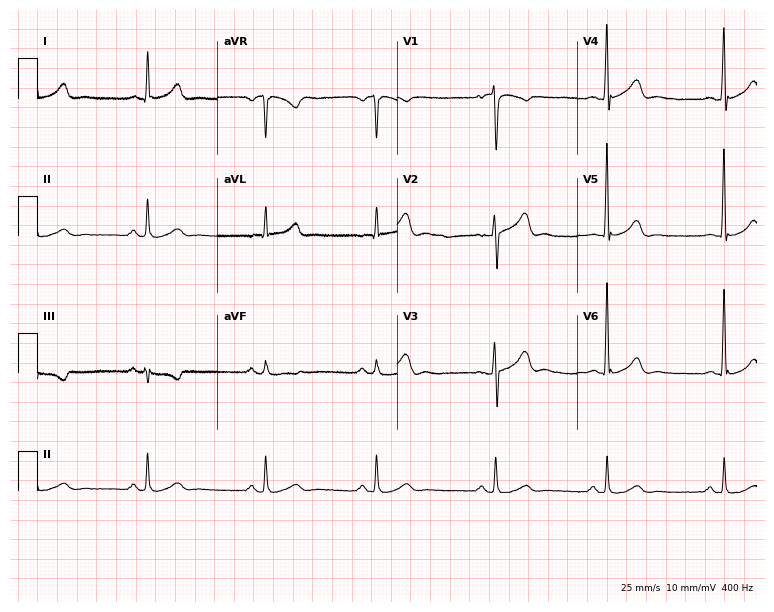
12-lead ECG from a 42-year-old male patient. Screened for six findings — first-degree AV block, right bundle branch block, left bundle branch block, sinus bradycardia, atrial fibrillation, sinus tachycardia — none is recorded.